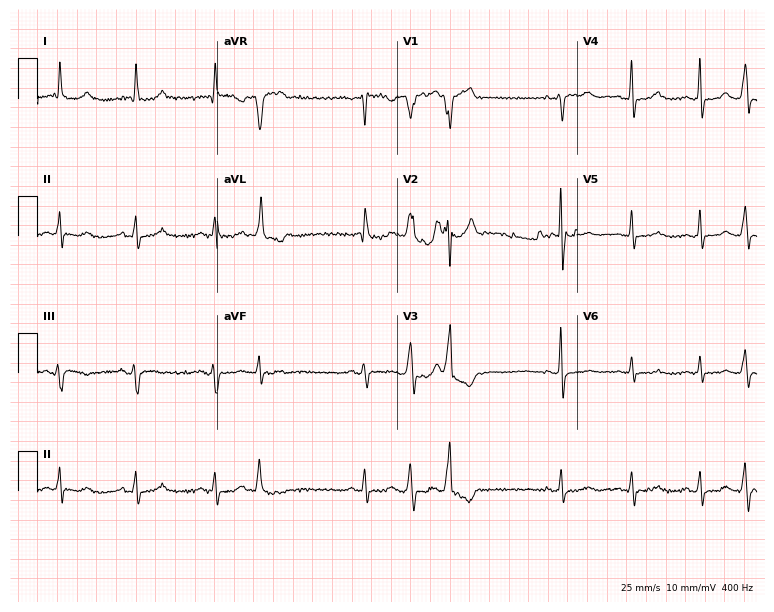
Standard 12-lead ECG recorded from a 72-year-old male. None of these six findings is recorded: first-degree AV block, right bundle branch block, left bundle branch block, sinus bradycardia, atrial fibrillation, sinus tachycardia.